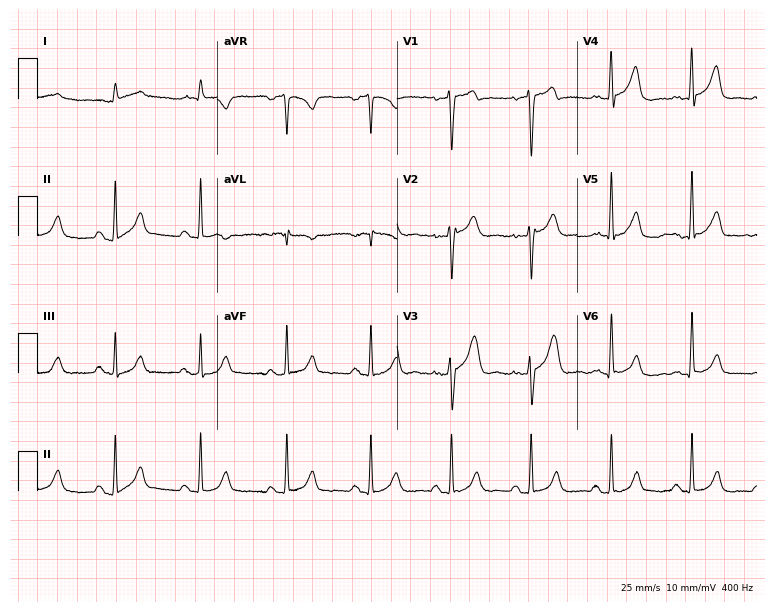
Resting 12-lead electrocardiogram. Patient: a man, 55 years old. Read as a normal ECG.